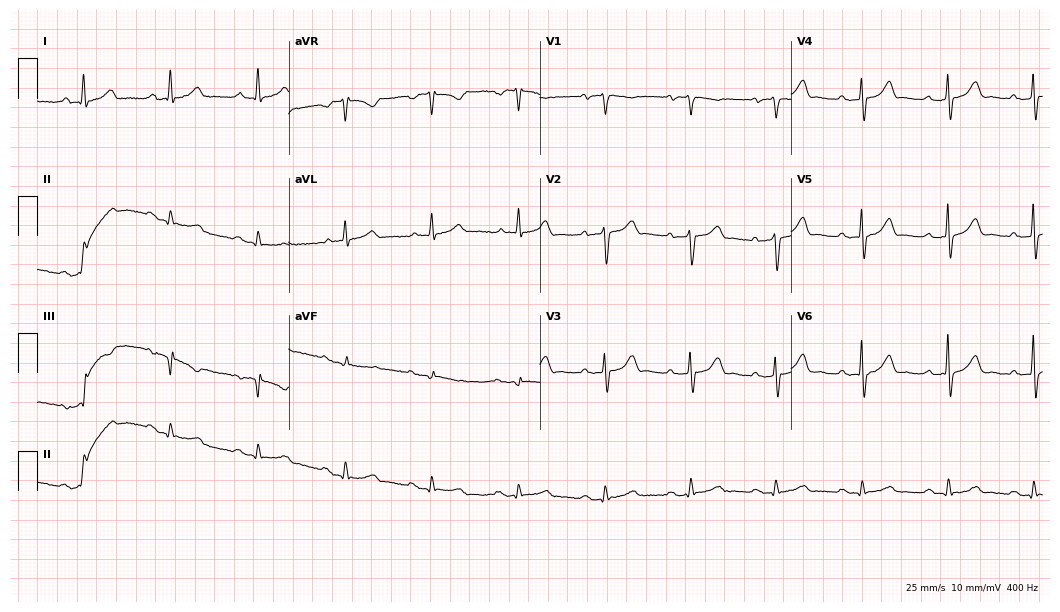
12-lead ECG from a man, 77 years old. No first-degree AV block, right bundle branch block, left bundle branch block, sinus bradycardia, atrial fibrillation or sinus tachycardia recorded for this tracing. Findings outside these six are not listed.